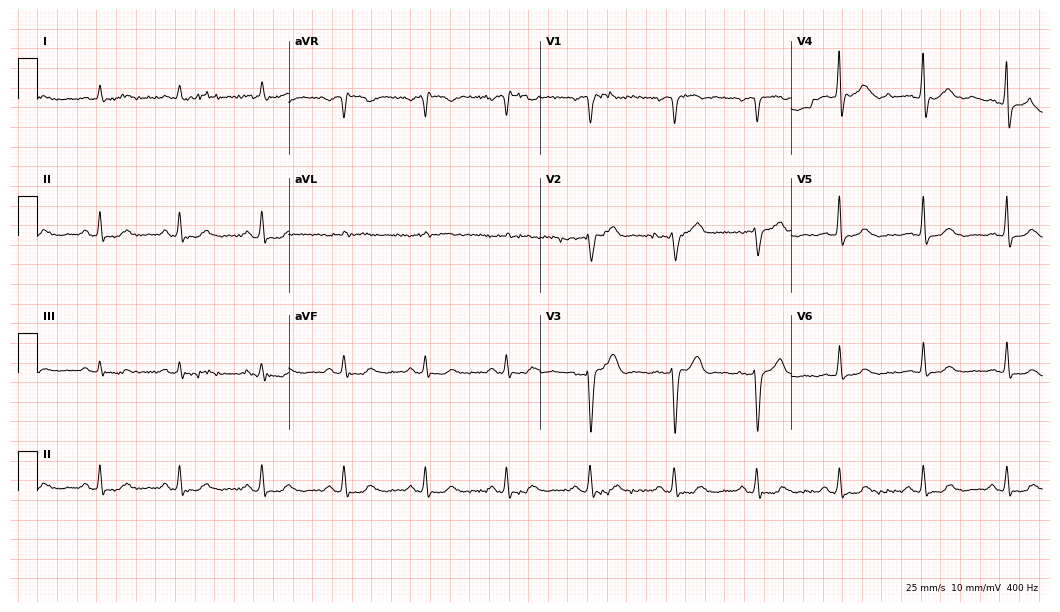
12-lead ECG from a man, 84 years old. Screened for six findings — first-degree AV block, right bundle branch block, left bundle branch block, sinus bradycardia, atrial fibrillation, sinus tachycardia — none is recorded. Only these six findings were labelled.